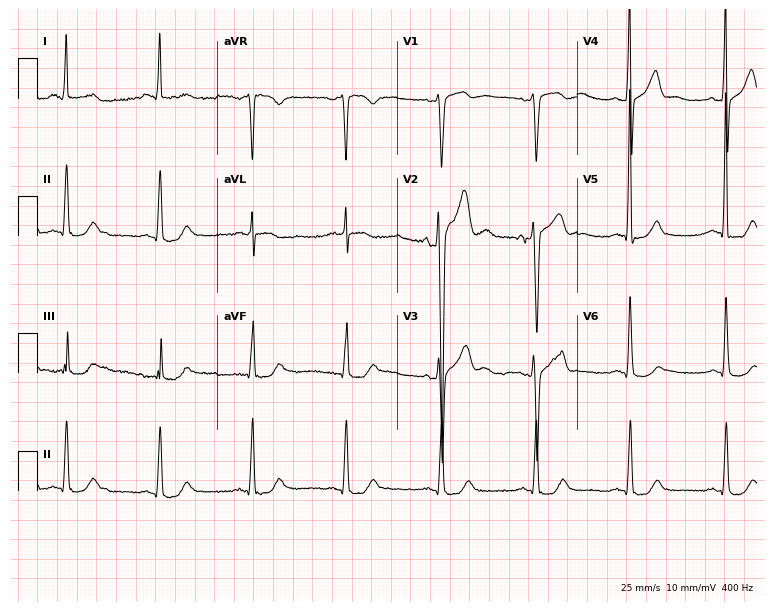
ECG (7.3-second recording at 400 Hz) — a 67-year-old male patient. Screened for six findings — first-degree AV block, right bundle branch block, left bundle branch block, sinus bradycardia, atrial fibrillation, sinus tachycardia — none is recorded. Only these six findings were labelled.